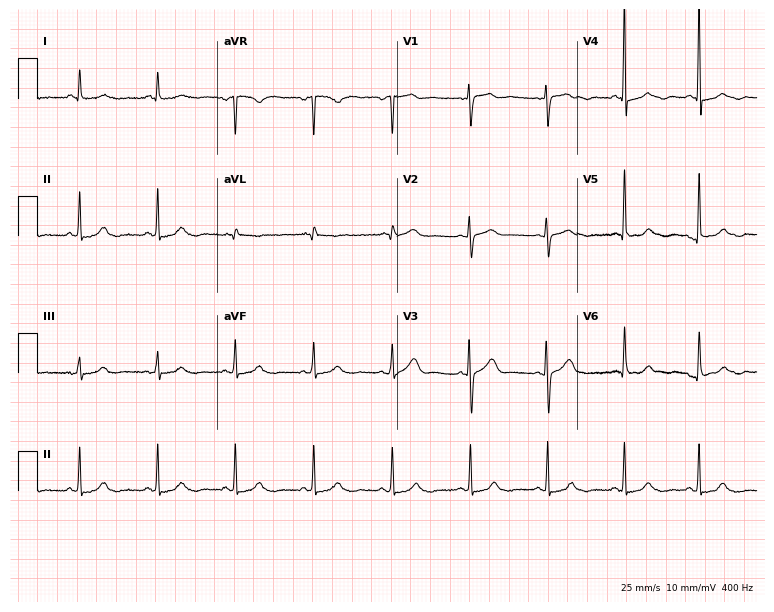
12-lead ECG from a female patient, 63 years old (7.3-second recording at 400 Hz). Recorded interpretation: within normal limits.